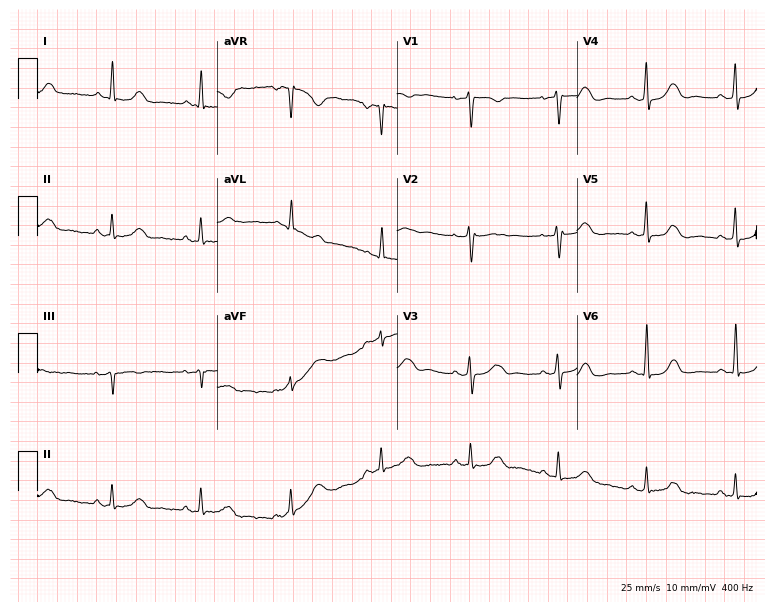
ECG (7.3-second recording at 400 Hz) — a woman, 76 years old. Screened for six findings — first-degree AV block, right bundle branch block, left bundle branch block, sinus bradycardia, atrial fibrillation, sinus tachycardia — none is recorded. Only these six findings were labelled.